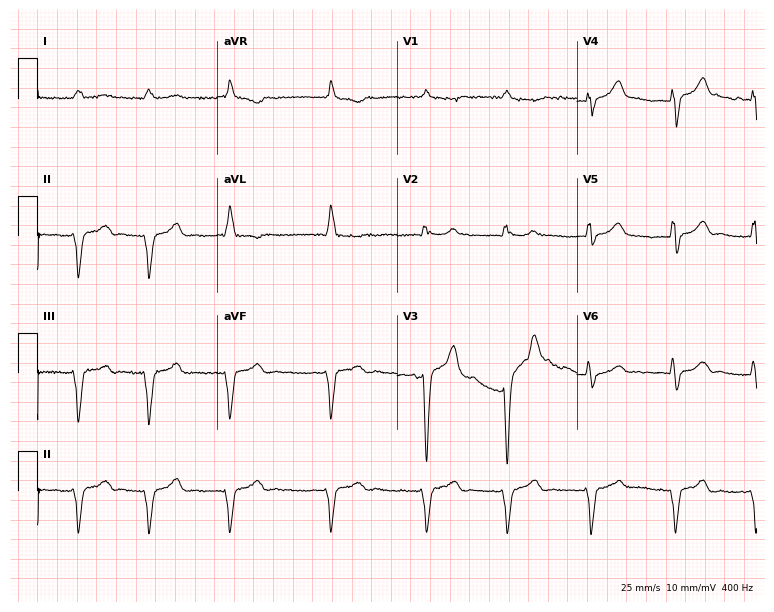
Electrocardiogram (7.3-second recording at 400 Hz), a man, 65 years old. Interpretation includes right bundle branch block, atrial fibrillation.